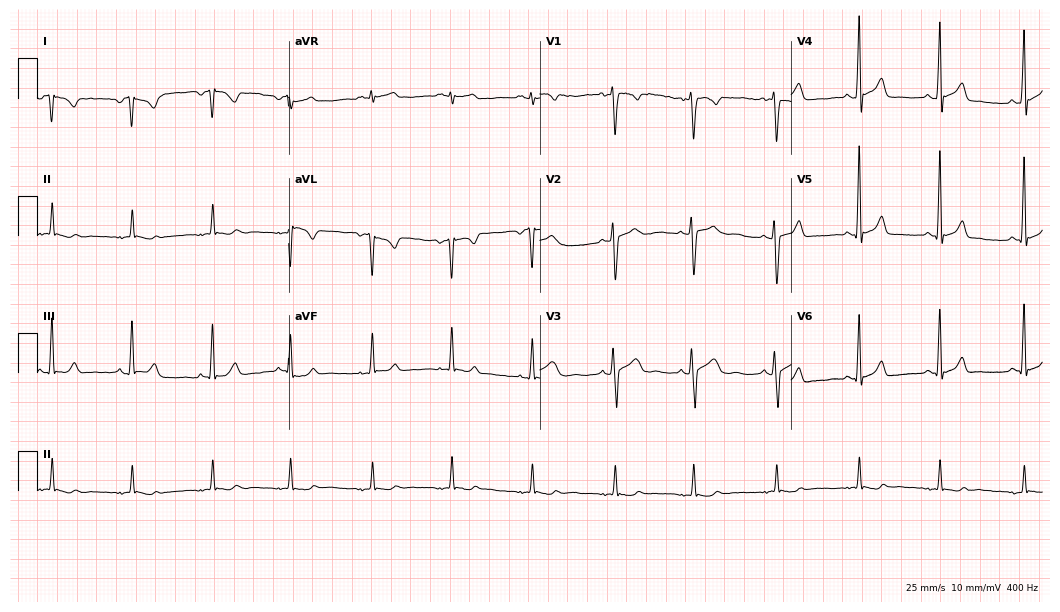
Electrocardiogram, a female, 26 years old. Of the six screened findings (first-degree AV block, right bundle branch block, left bundle branch block, sinus bradycardia, atrial fibrillation, sinus tachycardia), none is recorded. Findings outside these six are not listed.